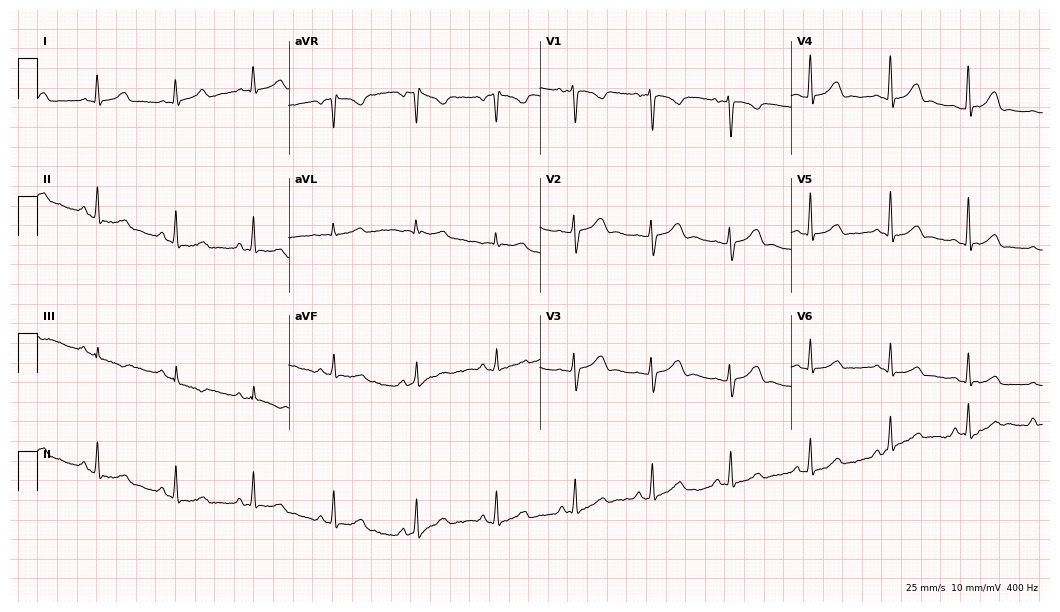
Standard 12-lead ECG recorded from a female patient, 21 years old. None of these six findings is recorded: first-degree AV block, right bundle branch block, left bundle branch block, sinus bradycardia, atrial fibrillation, sinus tachycardia. Only these six findings were labelled.